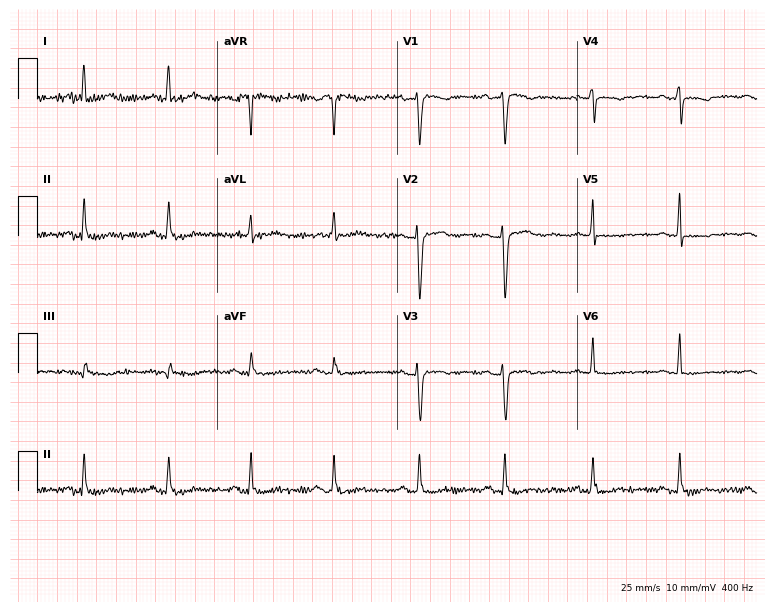
Electrocardiogram (7.3-second recording at 400 Hz), a female, 56 years old. Of the six screened findings (first-degree AV block, right bundle branch block, left bundle branch block, sinus bradycardia, atrial fibrillation, sinus tachycardia), none is recorded.